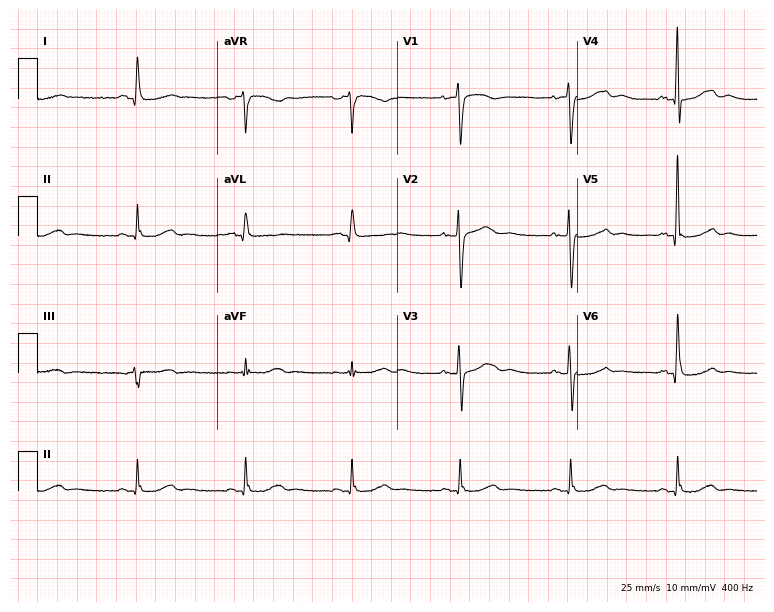
Standard 12-lead ECG recorded from a female, 73 years old. Read as a normal ECG.